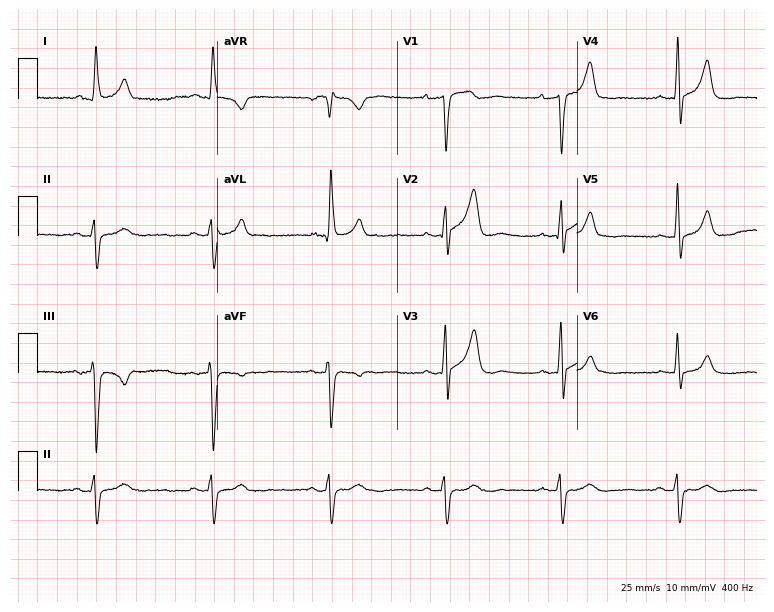
Standard 12-lead ECG recorded from a male, 76 years old (7.3-second recording at 400 Hz). The tracing shows sinus bradycardia (a sinus rate of 50 beats per minute or less).